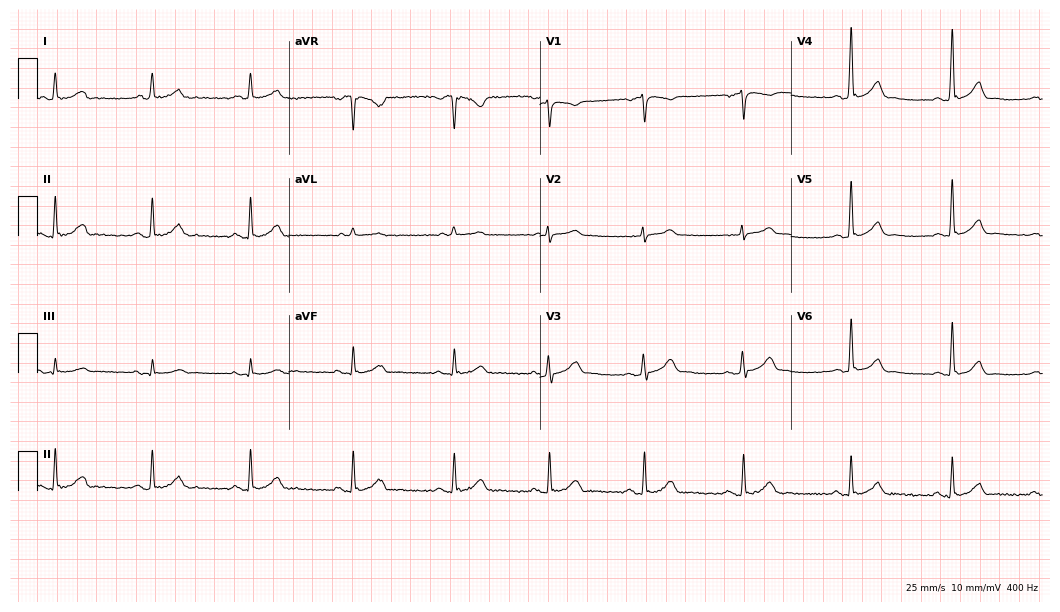
12-lead ECG from a 46-year-old male patient. Labelled as a normal ECG.